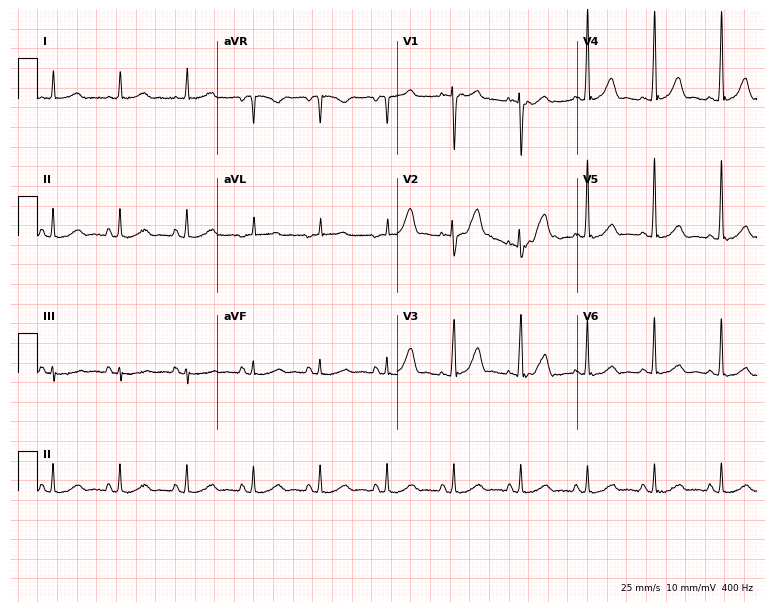
Electrocardiogram, a male, 36 years old. Of the six screened findings (first-degree AV block, right bundle branch block (RBBB), left bundle branch block (LBBB), sinus bradycardia, atrial fibrillation (AF), sinus tachycardia), none is recorded. Other findings, if any, are not listed.